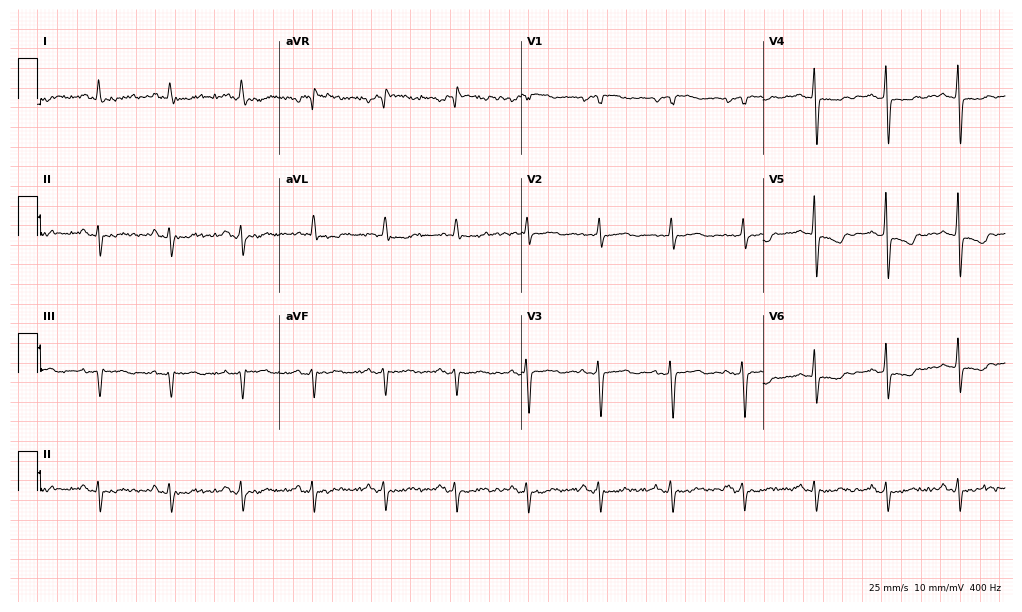
12-lead ECG from a female, 64 years old. No first-degree AV block, right bundle branch block, left bundle branch block, sinus bradycardia, atrial fibrillation or sinus tachycardia recorded for this tracing.